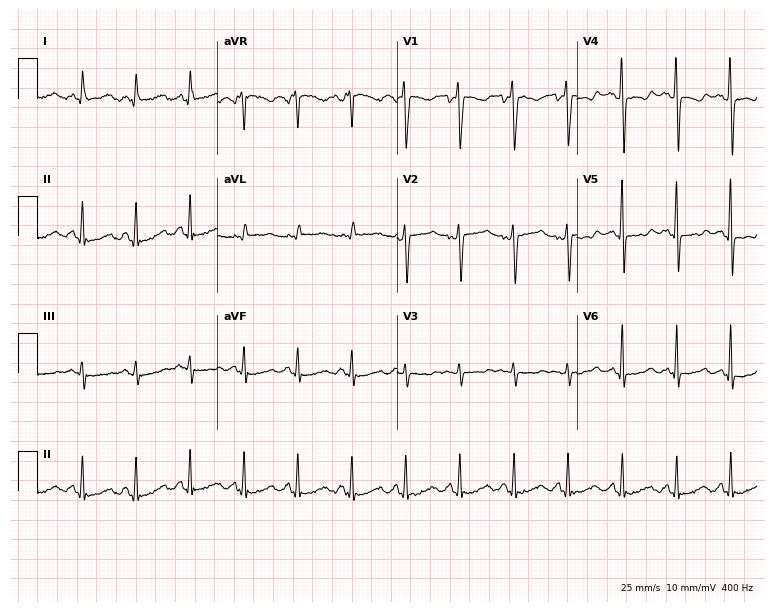
12-lead ECG from a 46-year-old female patient. Findings include sinus tachycardia (a sinus rate of 100 beats per minute or more).